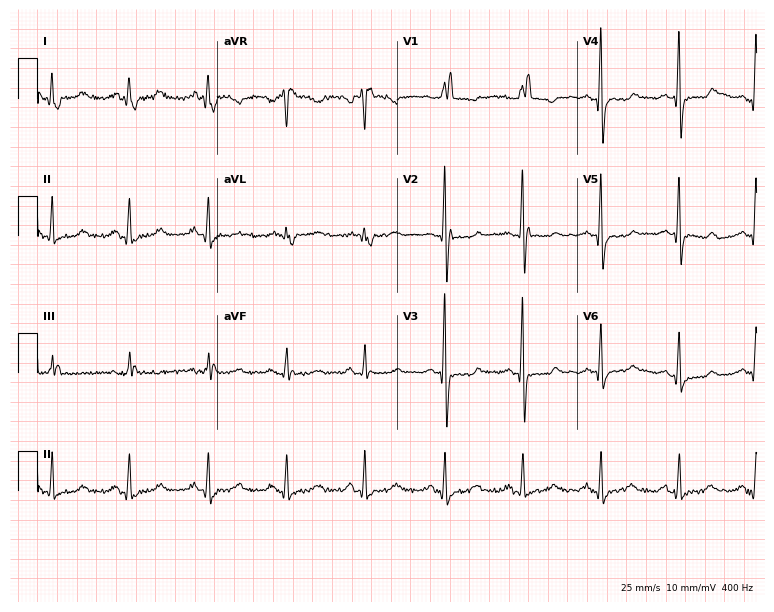
12-lead ECG (7.3-second recording at 400 Hz) from an 84-year-old female. Findings include right bundle branch block.